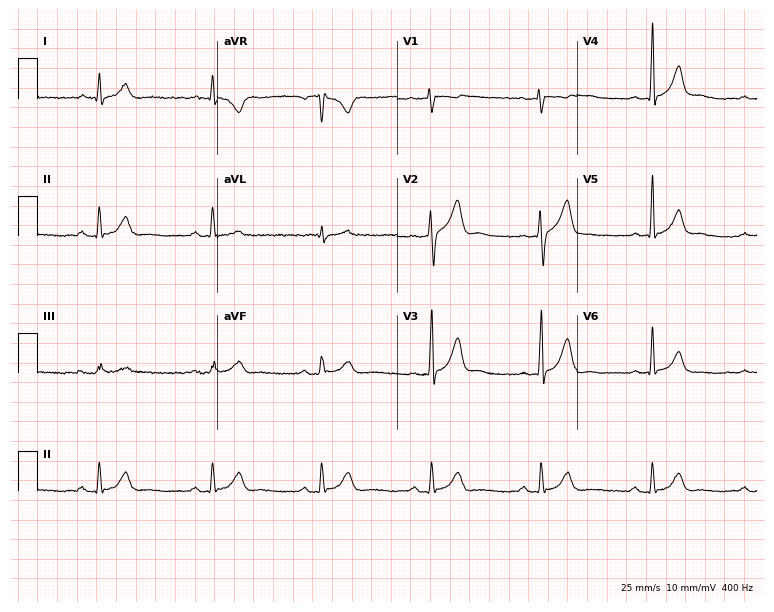
12-lead ECG from a 37-year-old man (7.3-second recording at 400 Hz). Recorded interpretation: within normal limits.